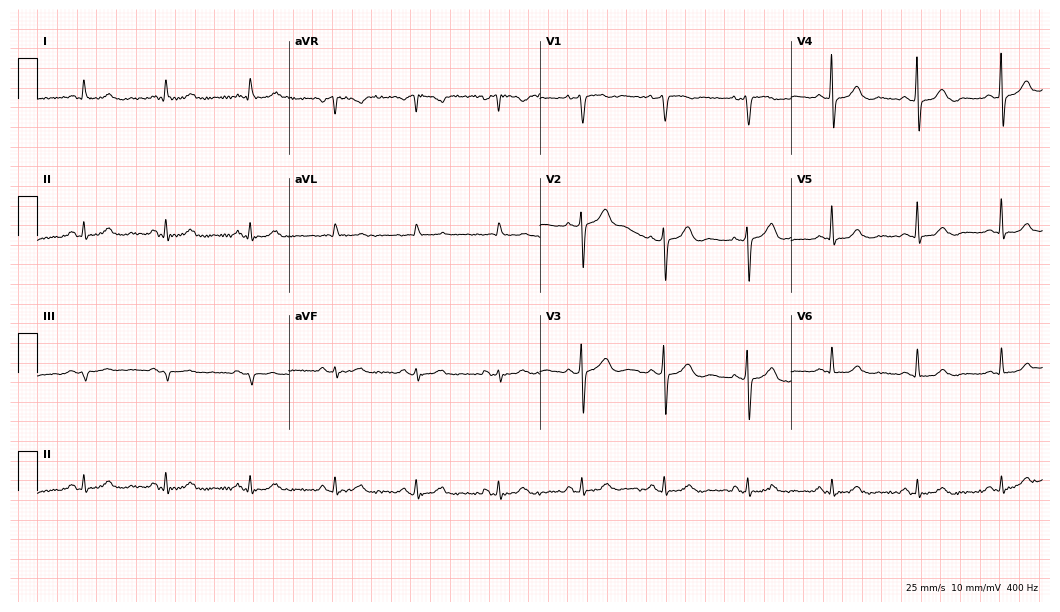
Resting 12-lead electrocardiogram (10.2-second recording at 400 Hz). Patient: a 64-year-old man. Read as a normal ECG.